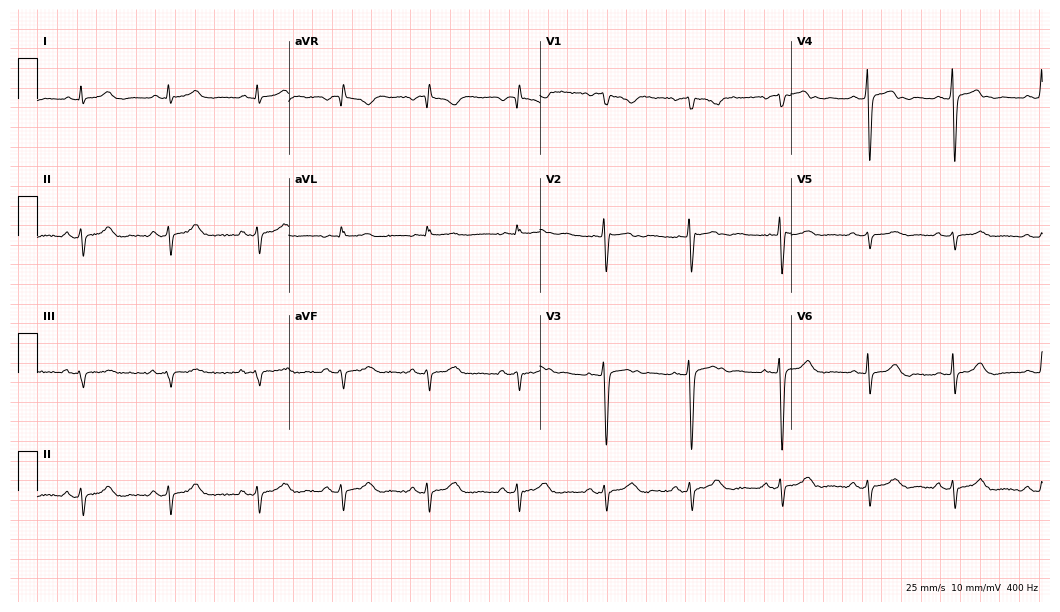
Standard 12-lead ECG recorded from a female, 29 years old. None of these six findings is recorded: first-degree AV block, right bundle branch block, left bundle branch block, sinus bradycardia, atrial fibrillation, sinus tachycardia.